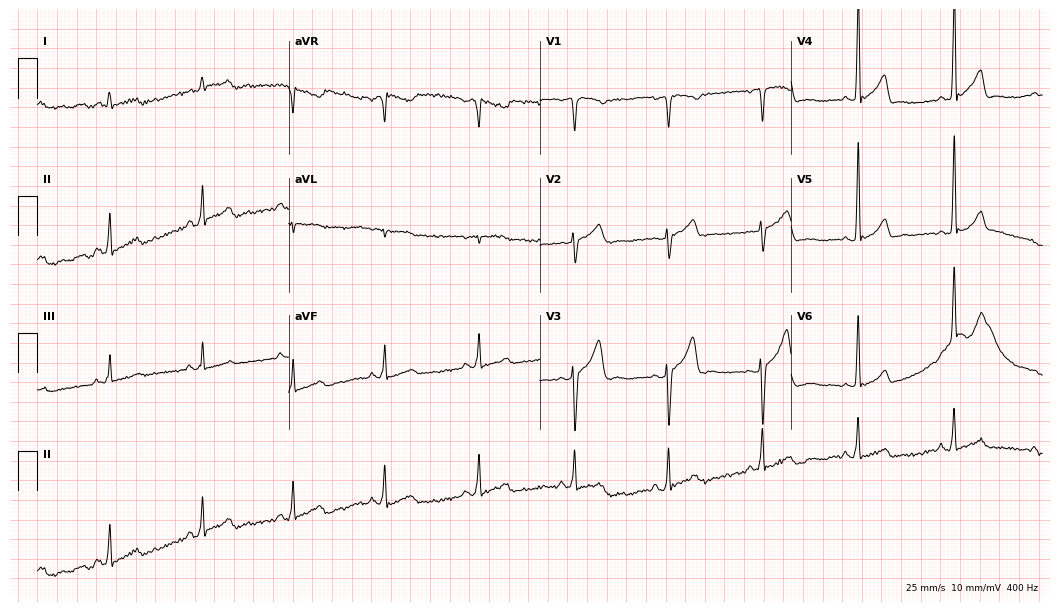
Resting 12-lead electrocardiogram. Patient: a 42-year-old male. None of these six findings is recorded: first-degree AV block, right bundle branch block, left bundle branch block, sinus bradycardia, atrial fibrillation, sinus tachycardia. Only these six findings were labelled.